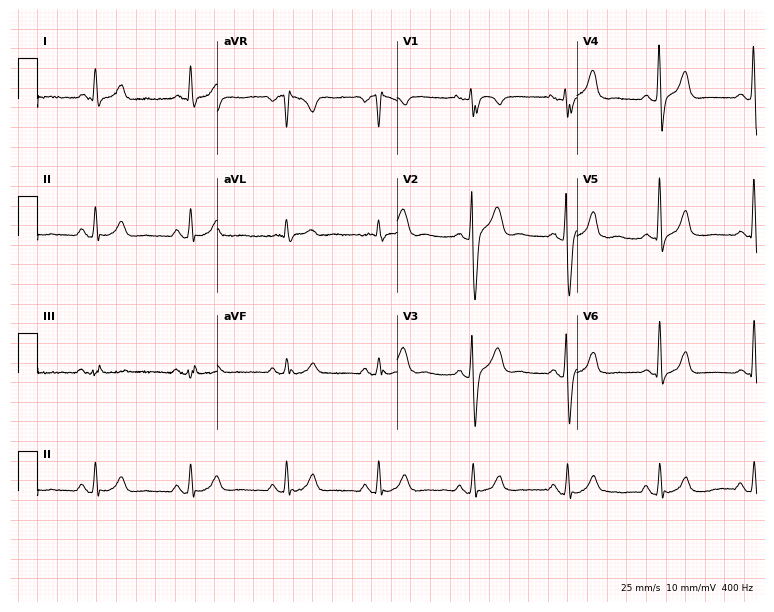
12-lead ECG from a man, 64 years old. Screened for six findings — first-degree AV block, right bundle branch block, left bundle branch block, sinus bradycardia, atrial fibrillation, sinus tachycardia — none is recorded.